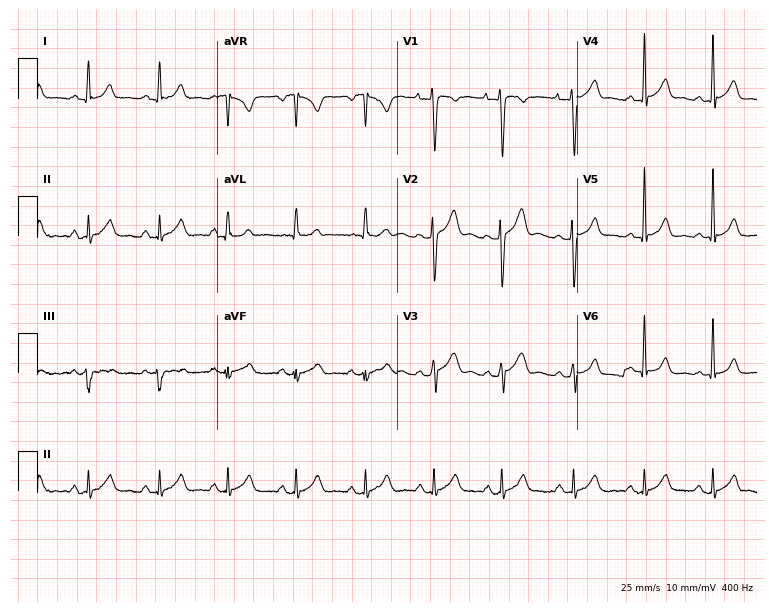
ECG — a male, 23 years old. Labelled as a normal ECG.